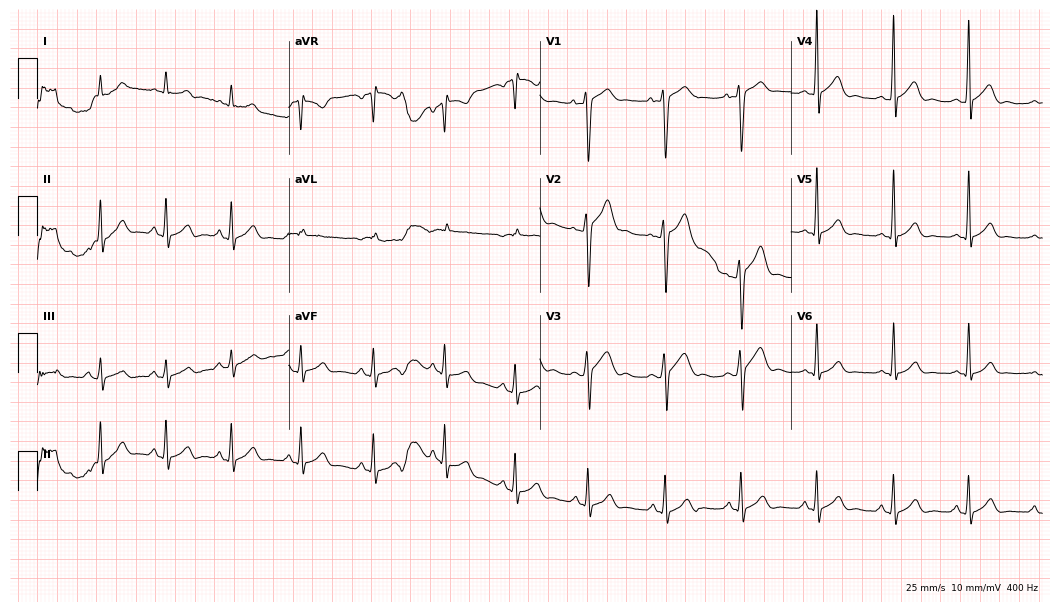
Electrocardiogram, a 21-year-old male. Overall reading on record: normal ECG.